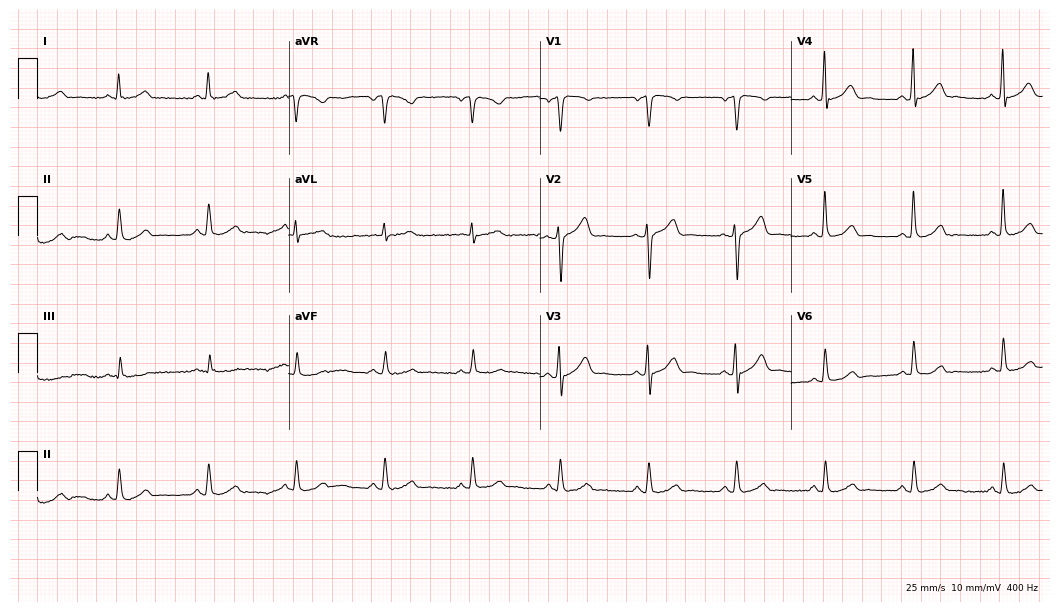
ECG — a man, 59 years old. Labelled as a normal ECG.